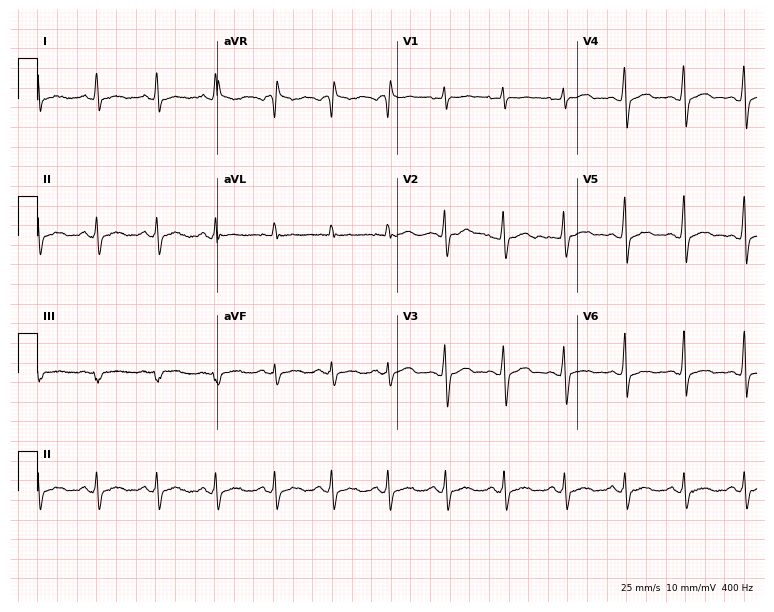
Standard 12-lead ECG recorded from a male, 35 years old (7.3-second recording at 400 Hz). None of these six findings is recorded: first-degree AV block, right bundle branch block, left bundle branch block, sinus bradycardia, atrial fibrillation, sinus tachycardia.